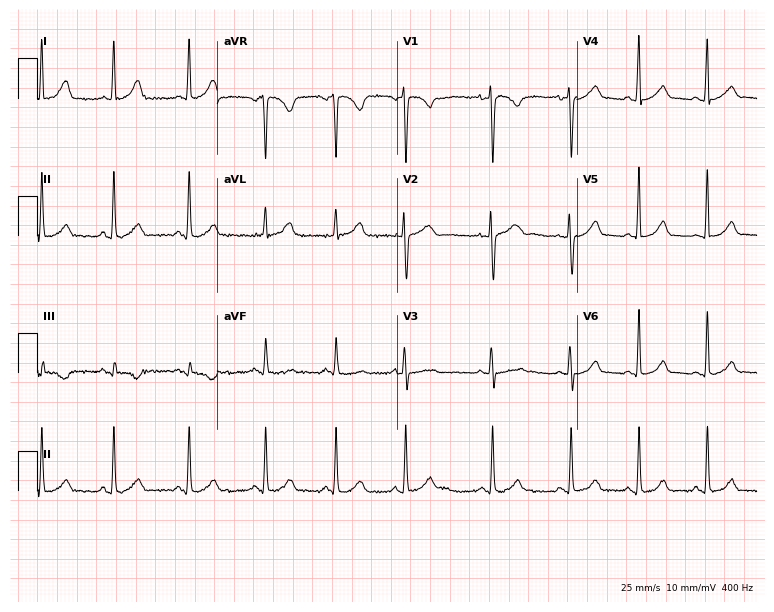
Resting 12-lead electrocardiogram. Patient: a female, 21 years old. Read as a normal ECG.